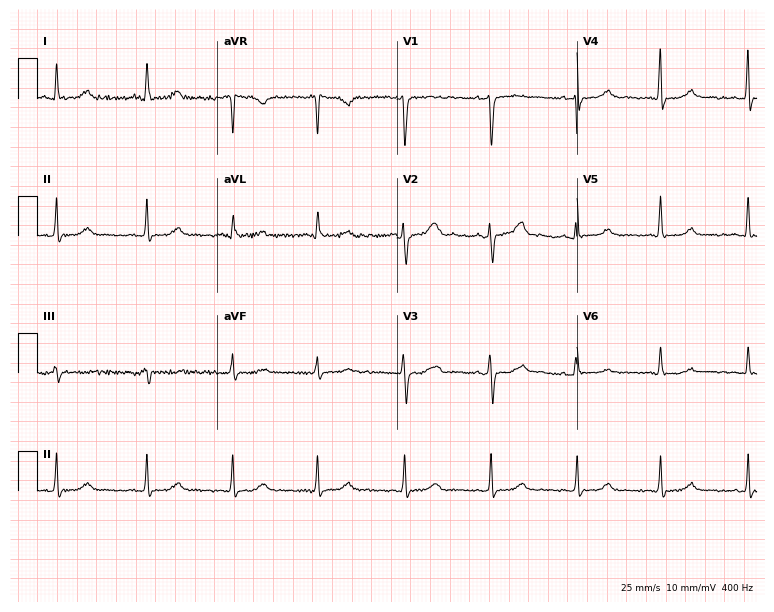
12-lead ECG from a 56-year-old female patient (7.3-second recording at 400 Hz). Recorded interpretation: within normal limits.